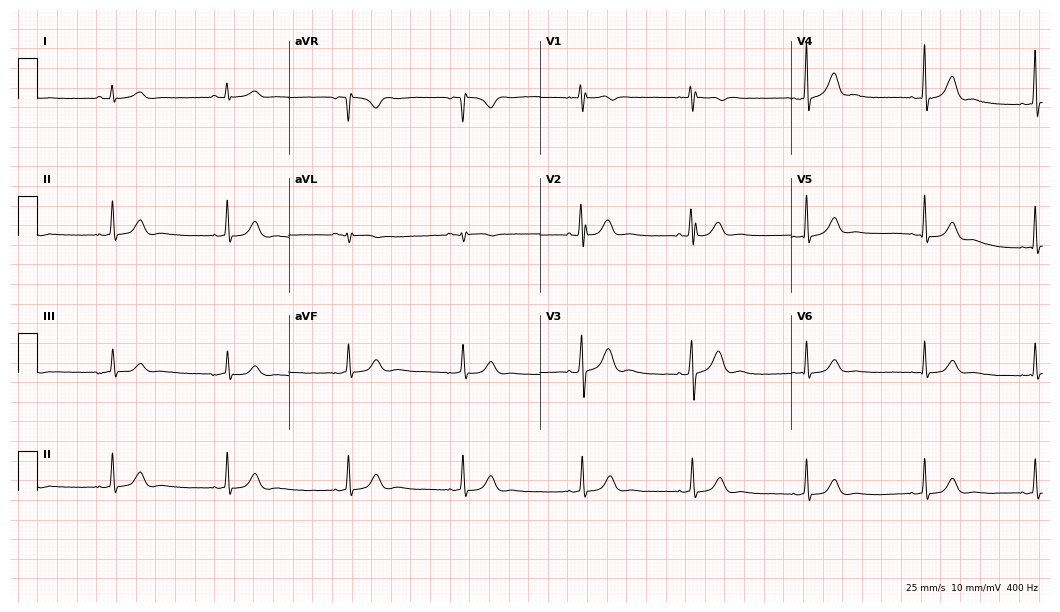
Standard 12-lead ECG recorded from a 21-year-old man. Read as a normal ECG.